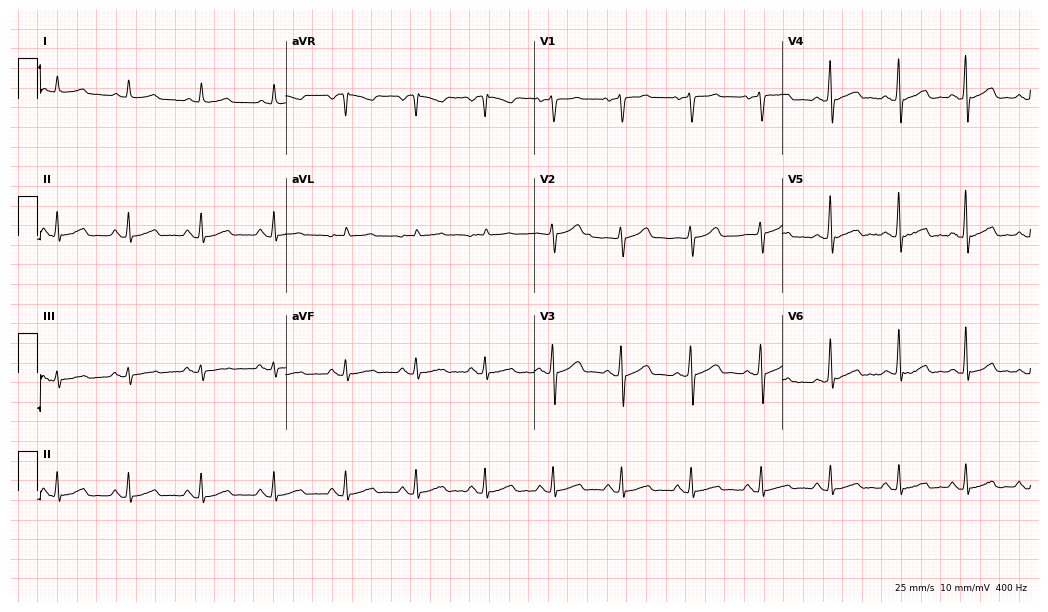
ECG (10.1-second recording at 400 Hz) — a 55-year-old man. Labelled as a normal ECG.